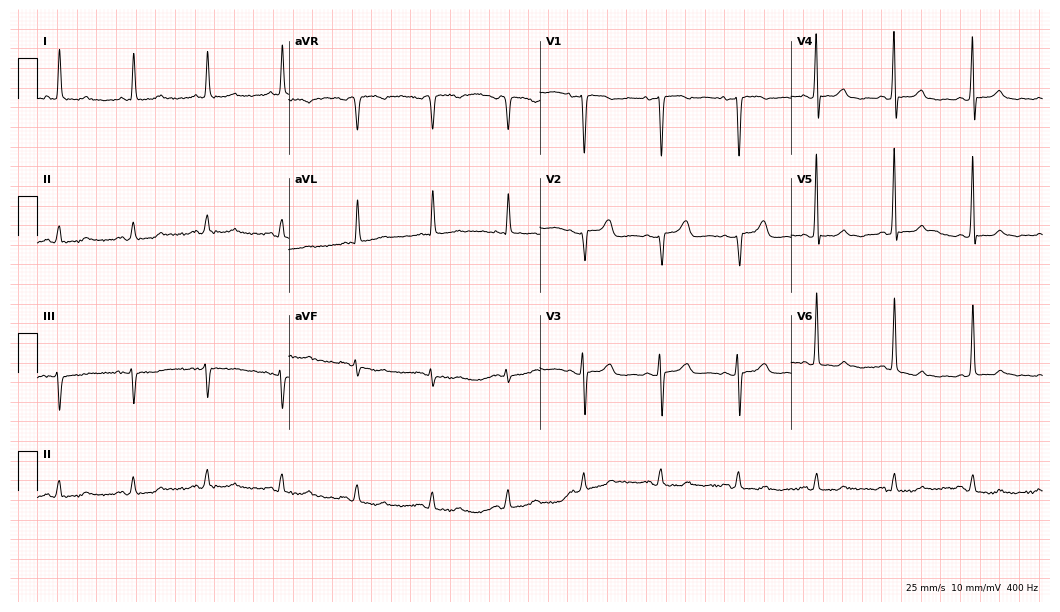
Resting 12-lead electrocardiogram (10.2-second recording at 400 Hz). Patient: a woman, 68 years old. Read as a normal ECG.